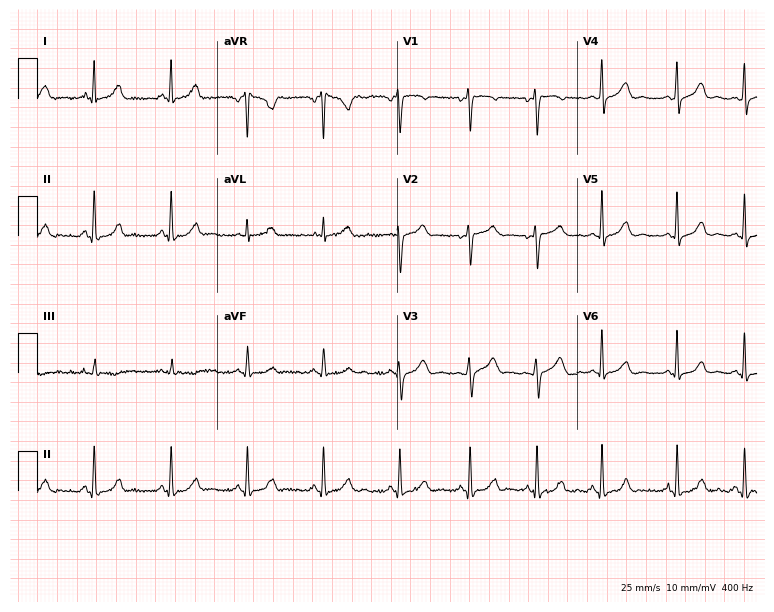
12-lead ECG from a 33-year-old female (7.3-second recording at 400 Hz). No first-degree AV block, right bundle branch block, left bundle branch block, sinus bradycardia, atrial fibrillation or sinus tachycardia recorded for this tracing.